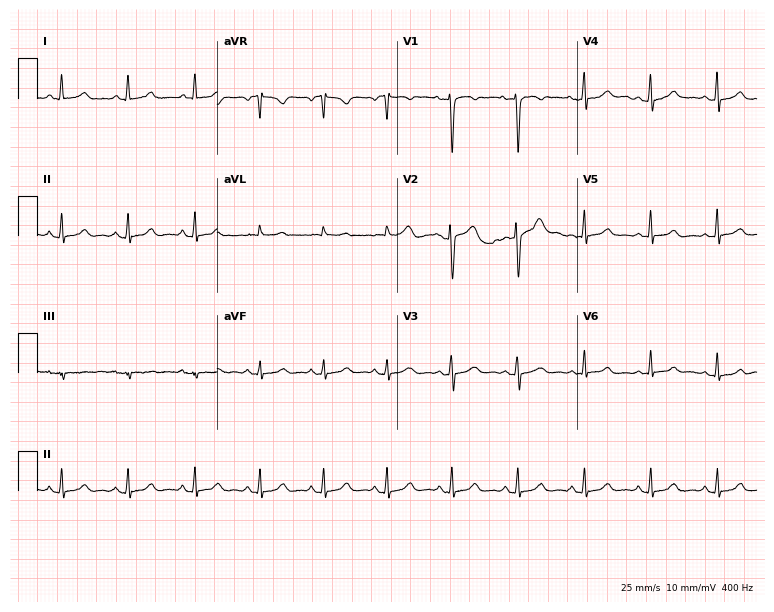
12-lead ECG from a female patient, 44 years old. Labelled as a normal ECG.